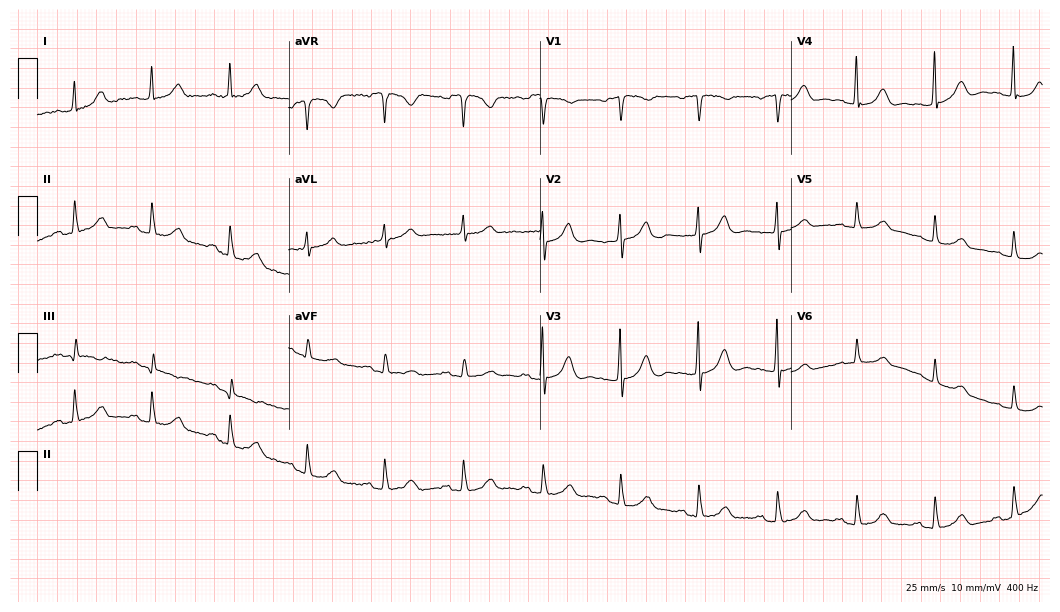
Electrocardiogram (10.2-second recording at 400 Hz), a female patient, 82 years old. Of the six screened findings (first-degree AV block, right bundle branch block, left bundle branch block, sinus bradycardia, atrial fibrillation, sinus tachycardia), none is recorded.